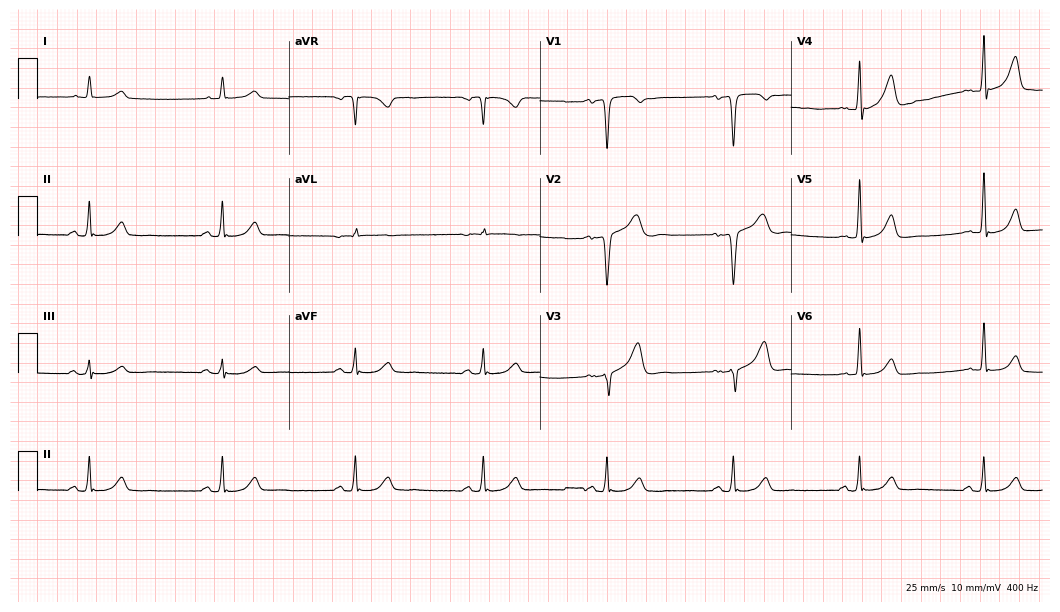
Electrocardiogram (10.2-second recording at 400 Hz), a 56-year-old male. Interpretation includes sinus bradycardia (a sinus rate of 50 beats per minute or less).